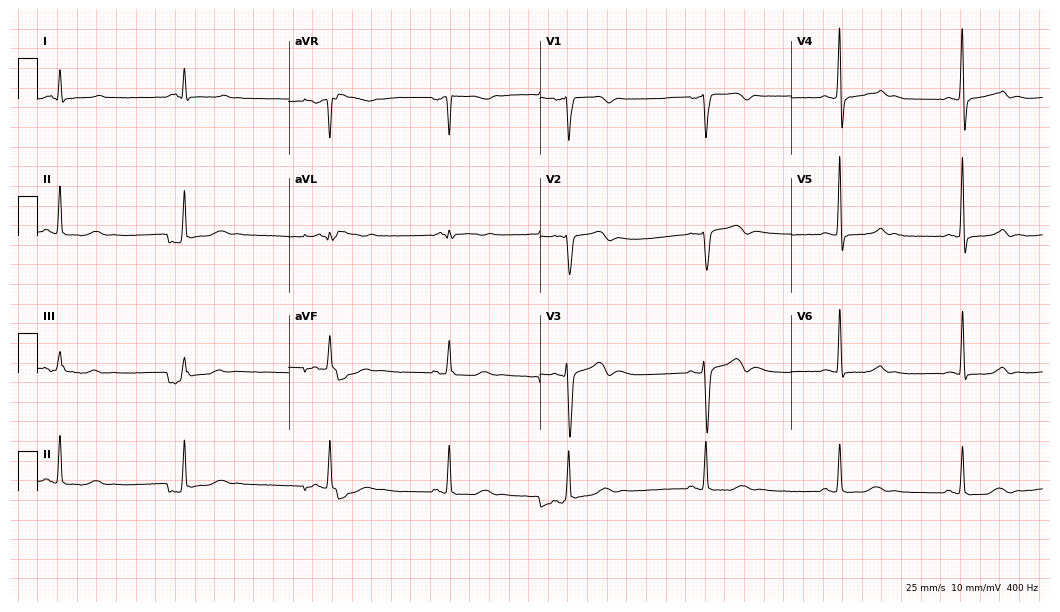
ECG — a 45-year-old male. Screened for six findings — first-degree AV block, right bundle branch block, left bundle branch block, sinus bradycardia, atrial fibrillation, sinus tachycardia — none is recorded.